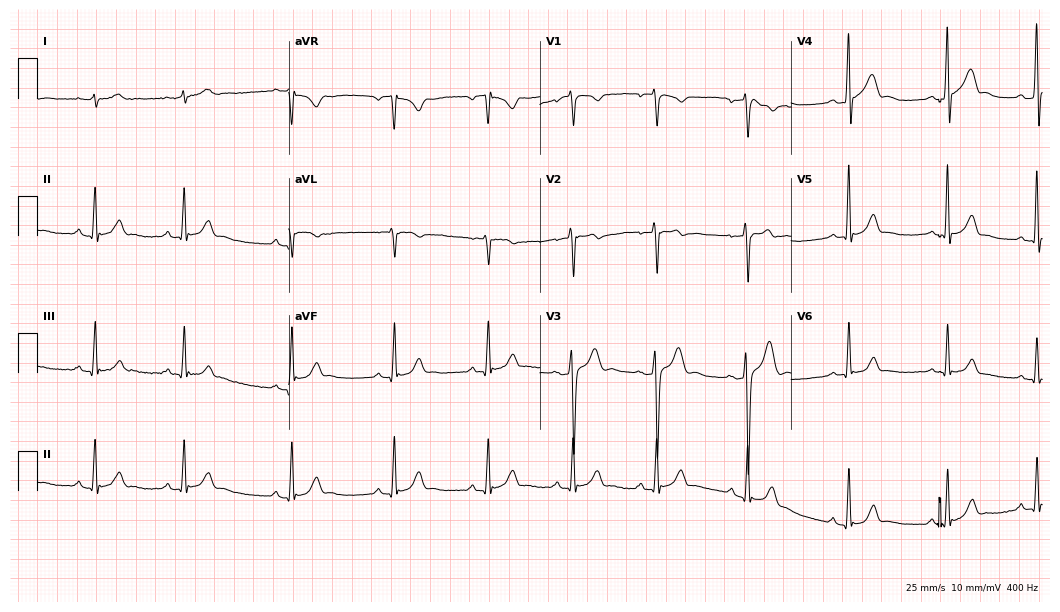
Standard 12-lead ECG recorded from a male patient, 24 years old (10.2-second recording at 400 Hz). Read as a normal ECG.